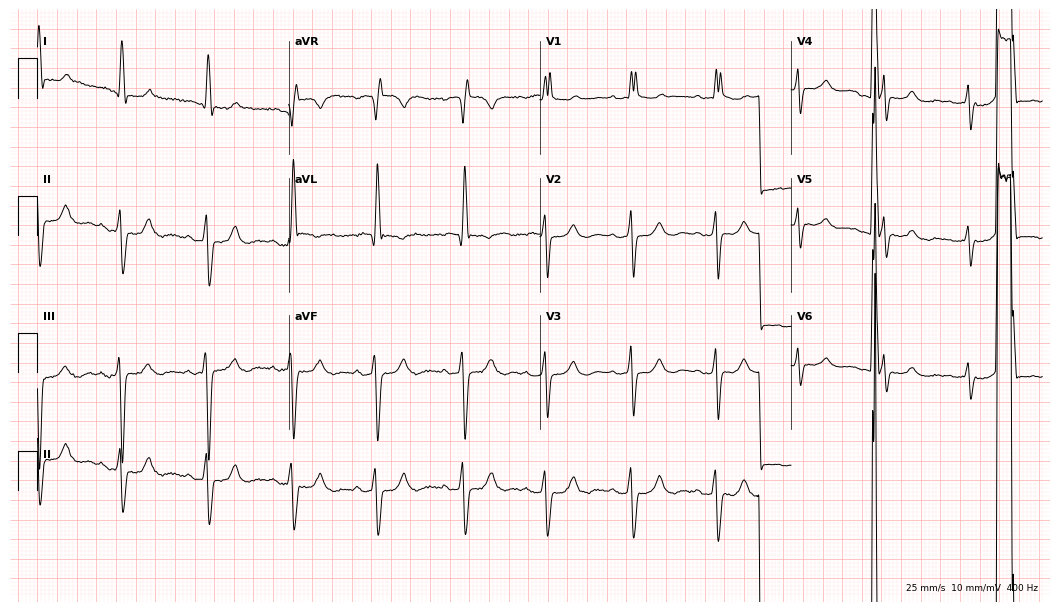
Resting 12-lead electrocardiogram. Patient: a female, 81 years old. None of these six findings is recorded: first-degree AV block, right bundle branch block, left bundle branch block, sinus bradycardia, atrial fibrillation, sinus tachycardia.